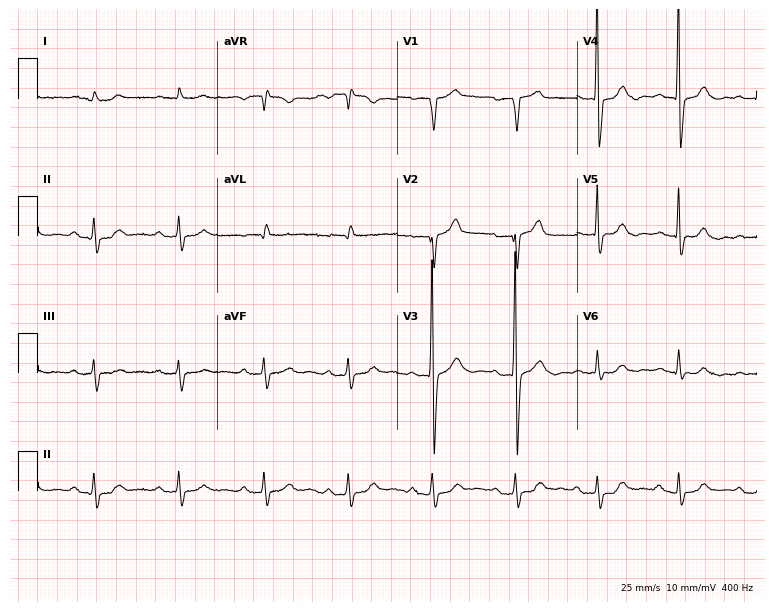
ECG — a 61-year-old male. Screened for six findings — first-degree AV block, right bundle branch block, left bundle branch block, sinus bradycardia, atrial fibrillation, sinus tachycardia — none is recorded.